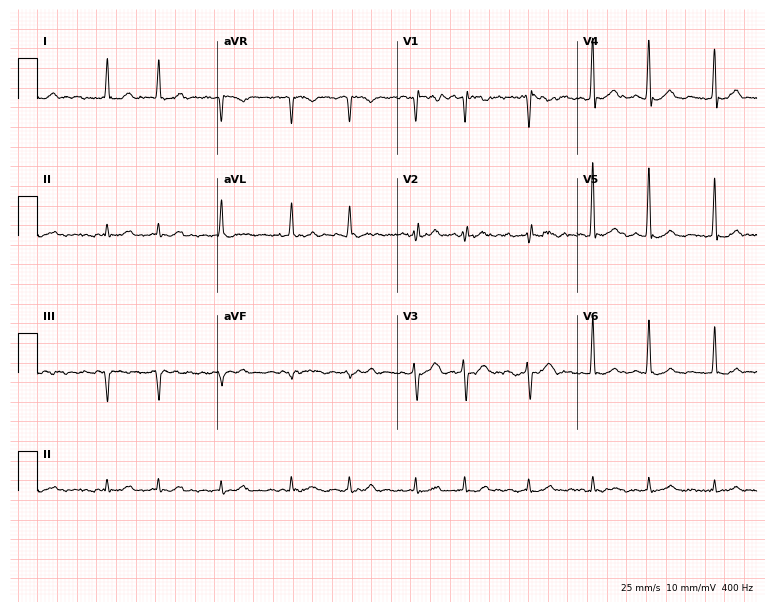
12-lead ECG from a man, 69 years old (7.3-second recording at 400 Hz). Shows atrial fibrillation (AF).